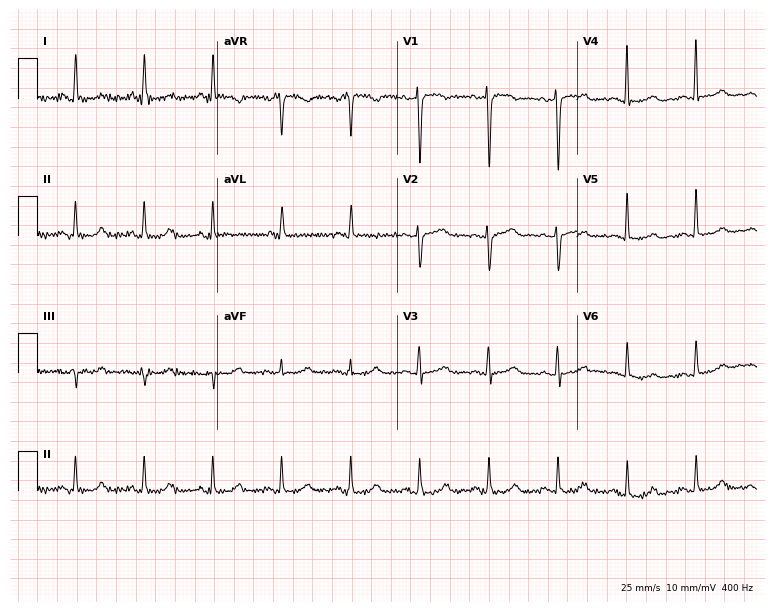
12-lead ECG (7.3-second recording at 400 Hz) from a 70-year-old female. Screened for six findings — first-degree AV block, right bundle branch block (RBBB), left bundle branch block (LBBB), sinus bradycardia, atrial fibrillation (AF), sinus tachycardia — none is recorded.